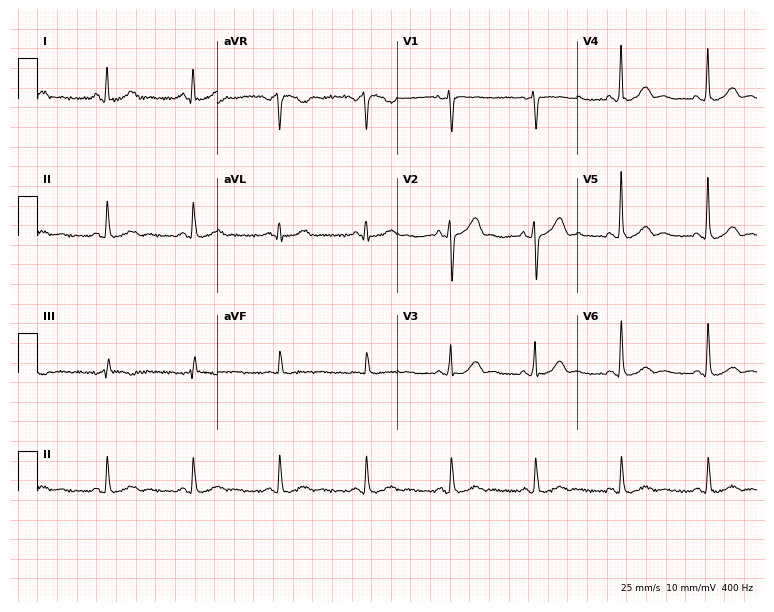
Standard 12-lead ECG recorded from a man, 42 years old. Read as a normal ECG.